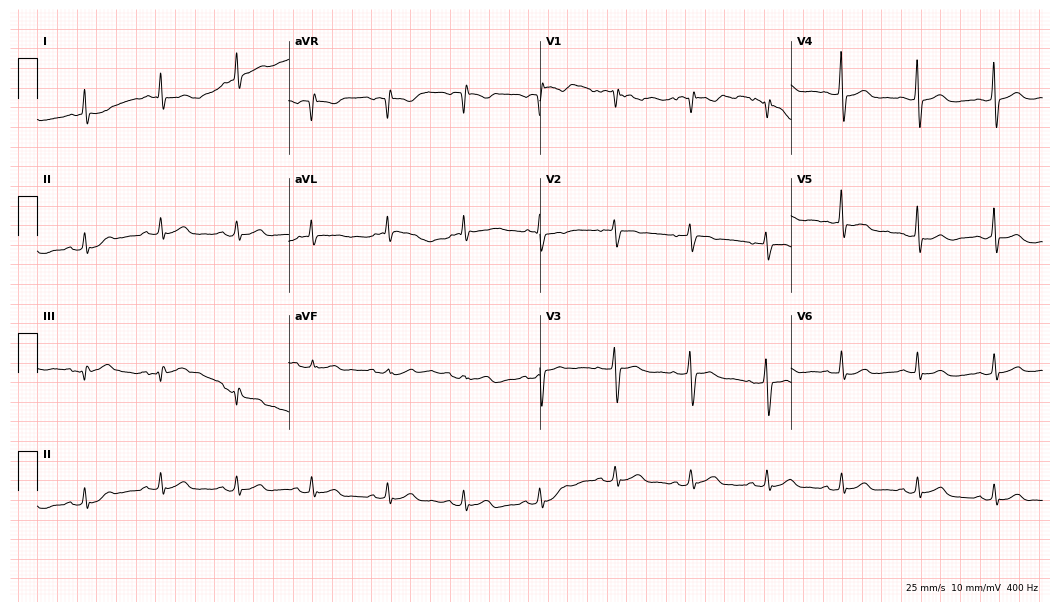
Standard 12-lead ECG recorded from a 73-year-old female. Read as a normal ECG.